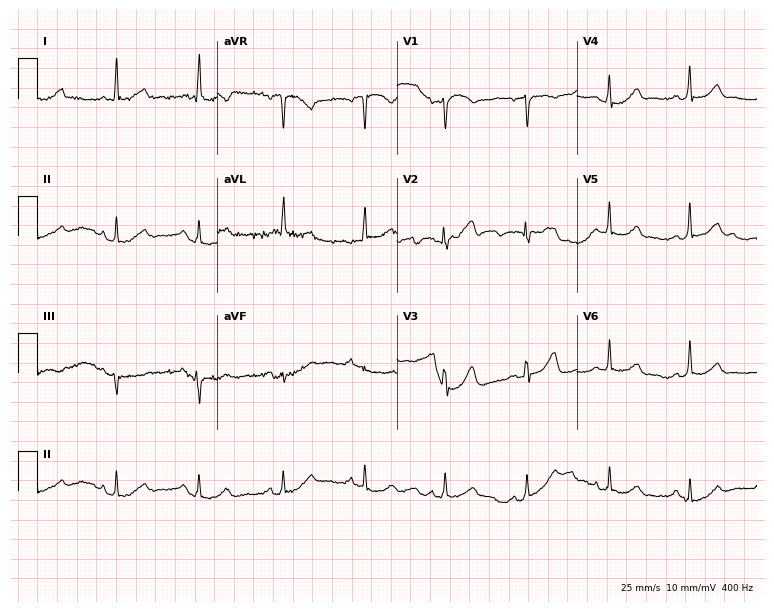
Resting 12-lead electrocardiogram. Patient: a 59-year-old female. Read as a normal ECG.